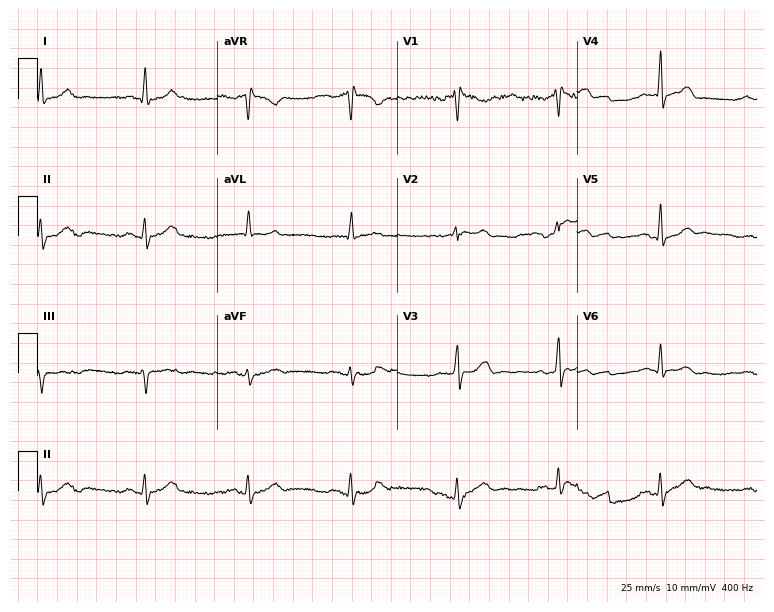
Resting 12-lead electrocardiogram. Patient: a male, 58 years old. None of these six findings is recorded: first-degree AV block, right bundle branch block (RBBB), left bundle branch block (LBBB), sinus bradycardia, atrial fibrillation (AF), sinus tachycardia. Other findings, if any, are not listed.